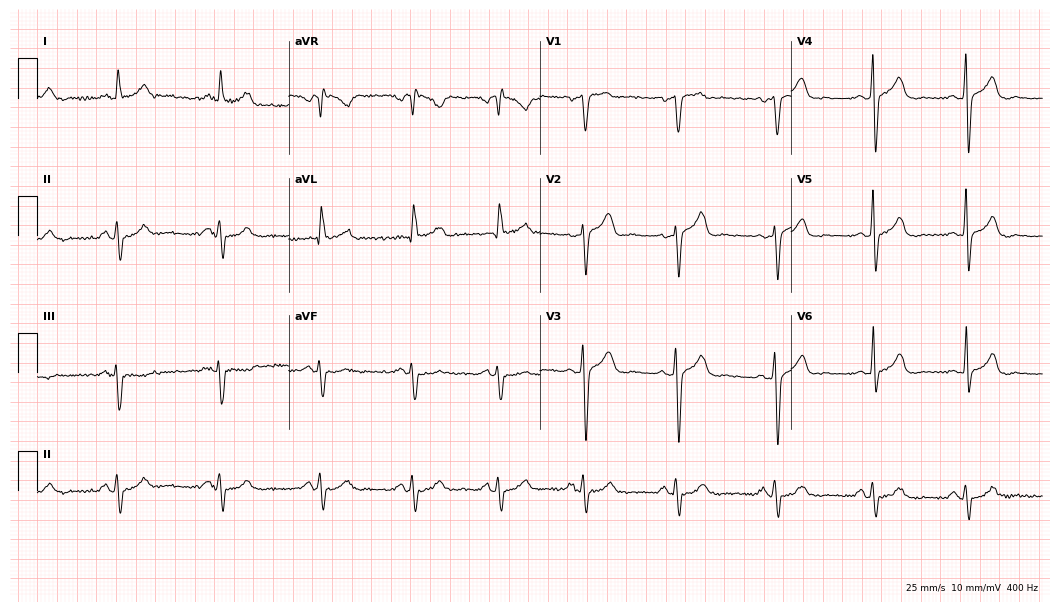
12-lead ECG from a 46-year-old male (10.2-second recording at 400 Hz). No first-degree AV block, right bundle branch block, left bundle branch block, sinus bradycardia, atrial fibrillation or sinus tachycardia recorded for this tracing.